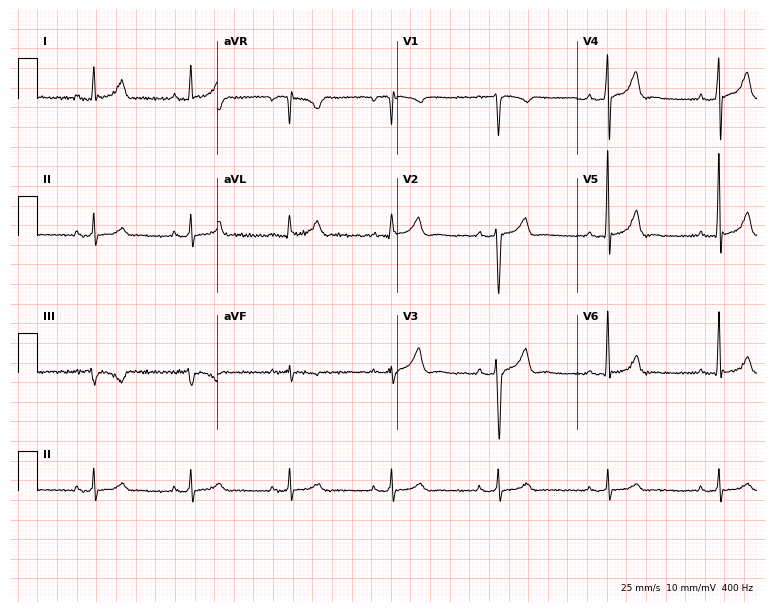
Electrocardiogram (7.3-second recording at 400 Hz), a male patient, 48 years old. Of the six screened findings (first-degree AV block, right bundle branch block, left bundle branch block, sinus bradycardia, atrial fibrillation, sinus tachycardia), none is recorded. Only these six findings were labelled.